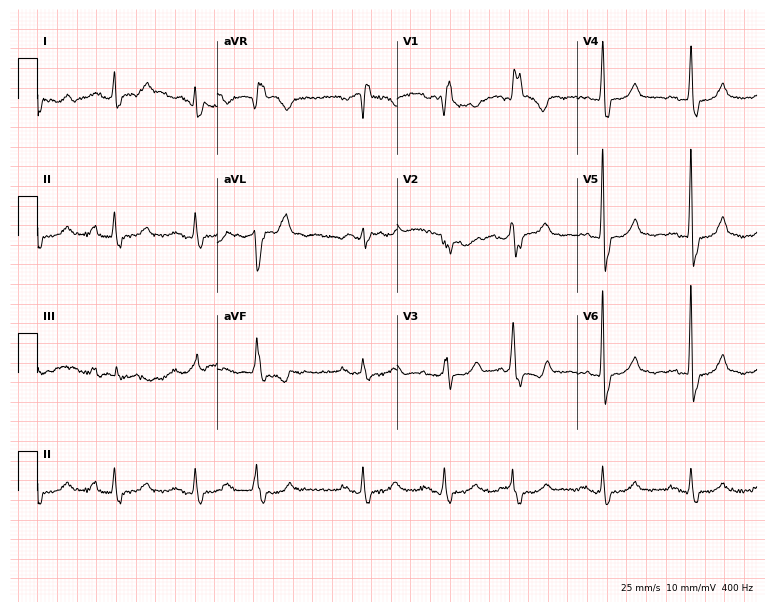
Resting 12-lead electrocardiogram. Patient: an 83-year-old female. None of these six findings is recorded: first-degree AV block, right bundle branch block, left bundle branch block, sinus bradycardia, atrial fibrillation, sinus tachycardia. Only these six findings were labelled.